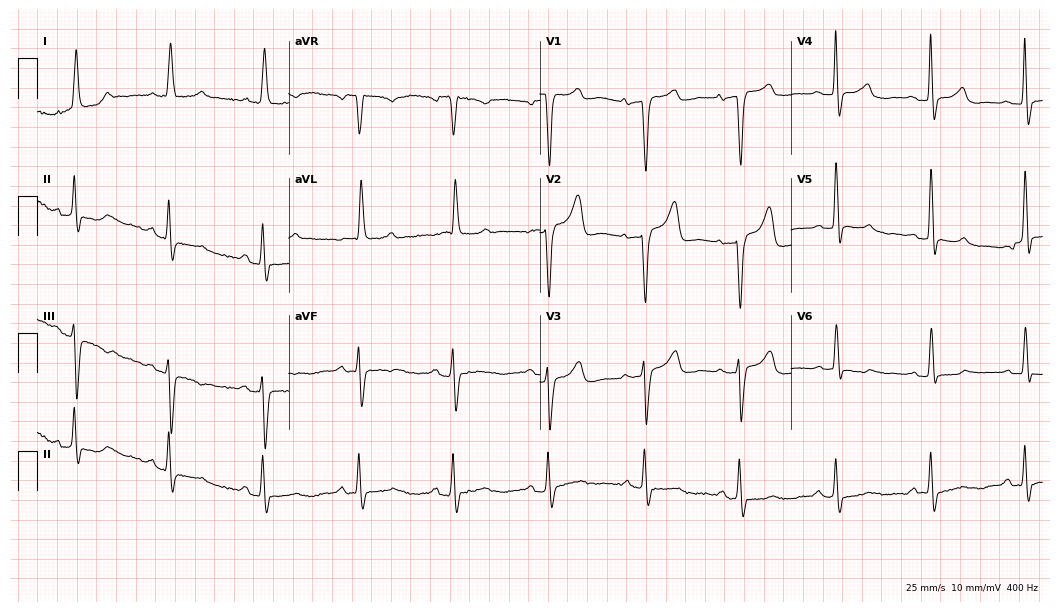
12-lead ECG from a woman, 72 years old (10.2-second recording at 400 Hz). No first-degree AV block, right bundle branch block (RBBB), left bundle branch block (LBBB), sinus bradycardia, atrial fibrillation (AF) or sinus tachycardia recorded for this tracing. Findings outside these six are not listed.